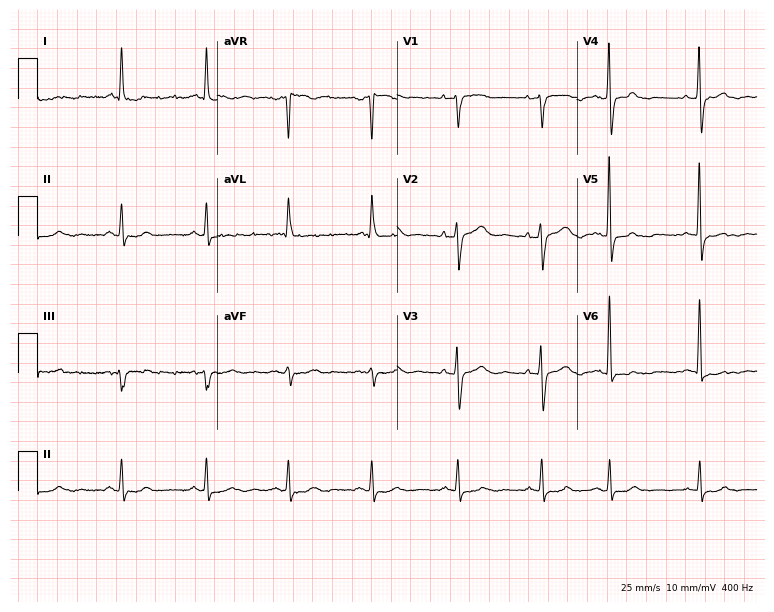
12-lead ECG from a woman, 82 years old. Screened for six findings — first-degree AV block, right bundle branch block (RBBB), left bundle branch block (LBBB), sinus bradycardia, atrial fibrillation (AF), sinus tachycardia — none is recorded.